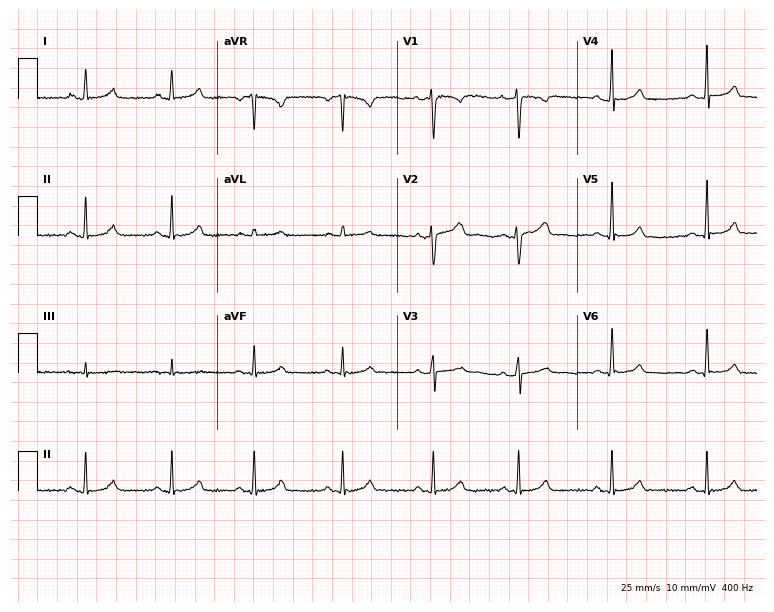
Standard 12-lead ECG recorded from a 30-year-old female patient. Read as a normal ECG.